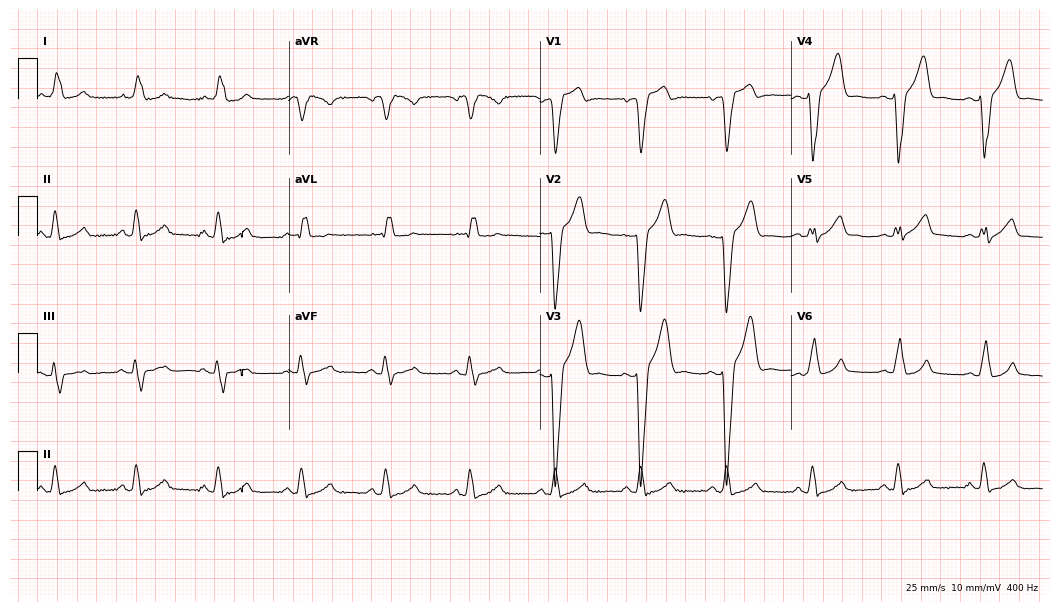
ECG (10.2-second recording at 400 Hz) — a man, 50 years old. Findings include left bundle branch block (LBBB).